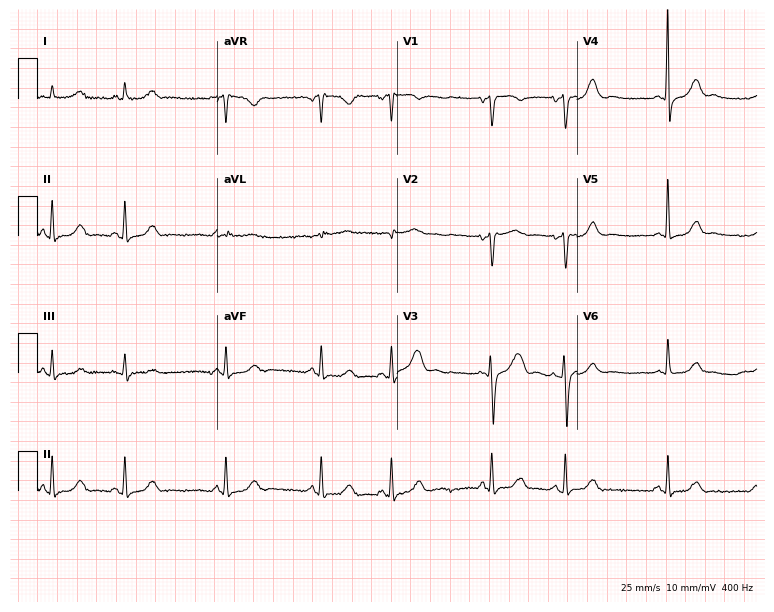
Resting 12-lead electrocardiogram (7.3-second recording at 400 Hz). Patient: a woman, 66 years old. None of these six findings is recorded: first-degree AV block, right bundle branch block, left bundle branch block, sinus bradycardia, atrial fibrillation, sinus tachycardia. Findings outside these six are not listed.